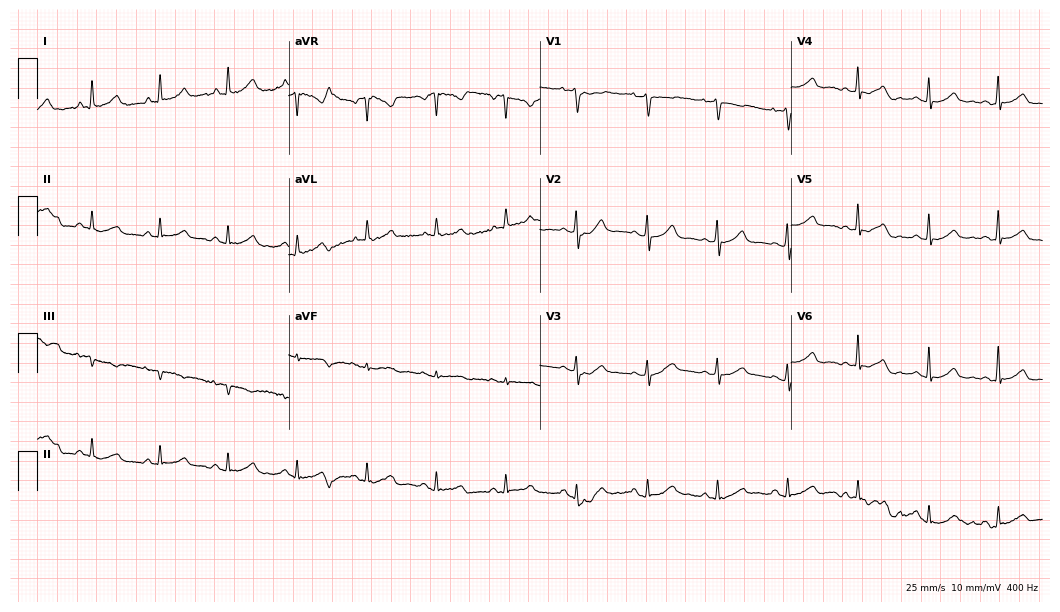
ECG — a female patient, 73 years old. Labelled as a normal ECG.